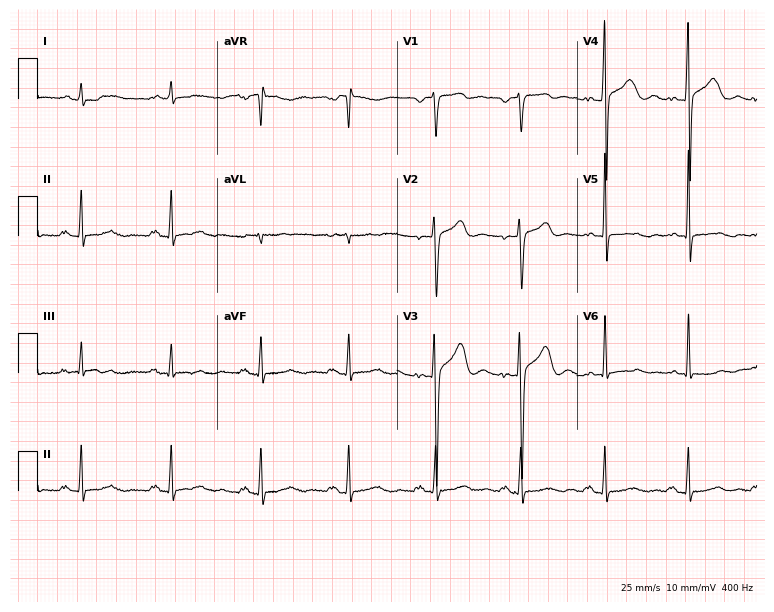
ECG (7.3-second recording at 400 Hz) — a male, 48 years old. Screened for six findings — first-degree AV block, right bundle branch block, left bundle branch block, sinus bradycardia, atrial fibrillation, sinus tachycardia — none is recorded.